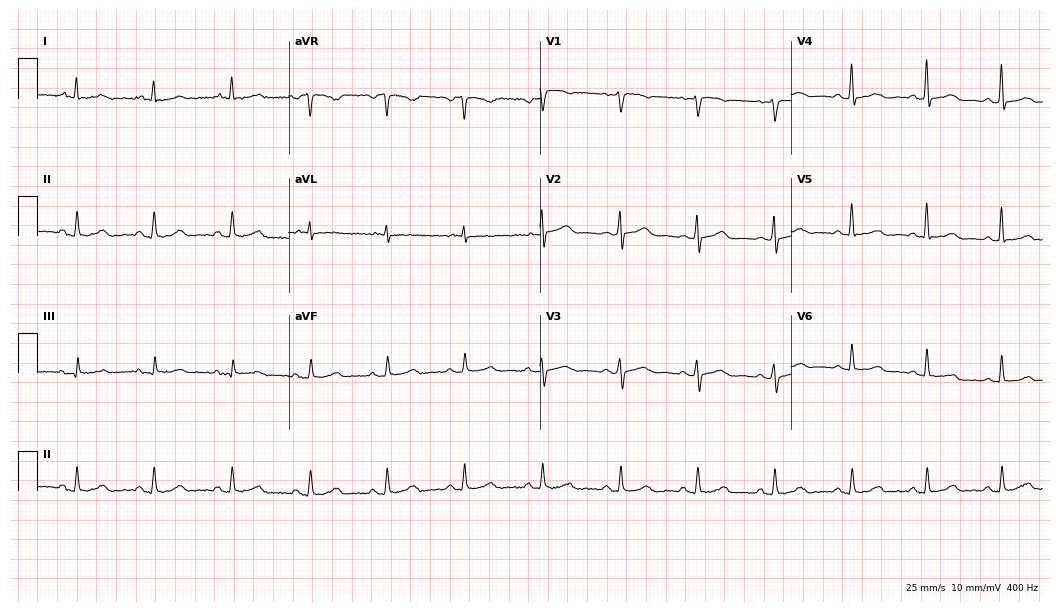
ECG — a 49-year-old female. Labelled as a normal ECG.